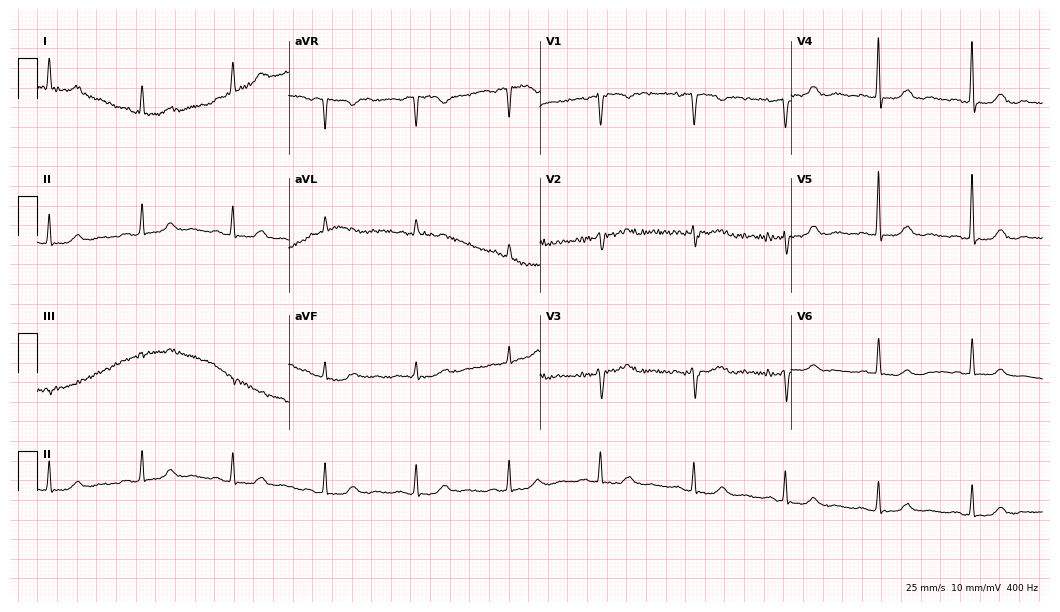
Resting 12-lead electrocardiogram (10.2-second recording at 400 Hz). Patient: a male, 79 years old. None of these six findings is recorded: first-degree AV block, right bundle branch block, left bundle branch block, sinus bradycardia, atrial fibrillation, sinus tachycardia. Findings outside these six are not listed.